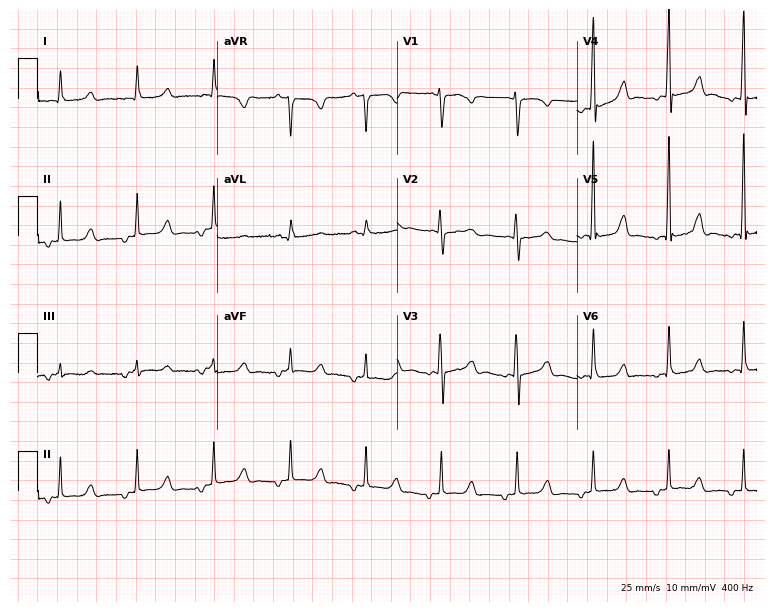
Standard 12-lead ECG recorded from a 49-year-old woman (7.3-second recording at 400 Hz). None of these six findings is recorded: first-degree AV block, right bundle branch block, left bundle branch block, sinus bradycardia, atrial fibrillation, sinus tachycardia.